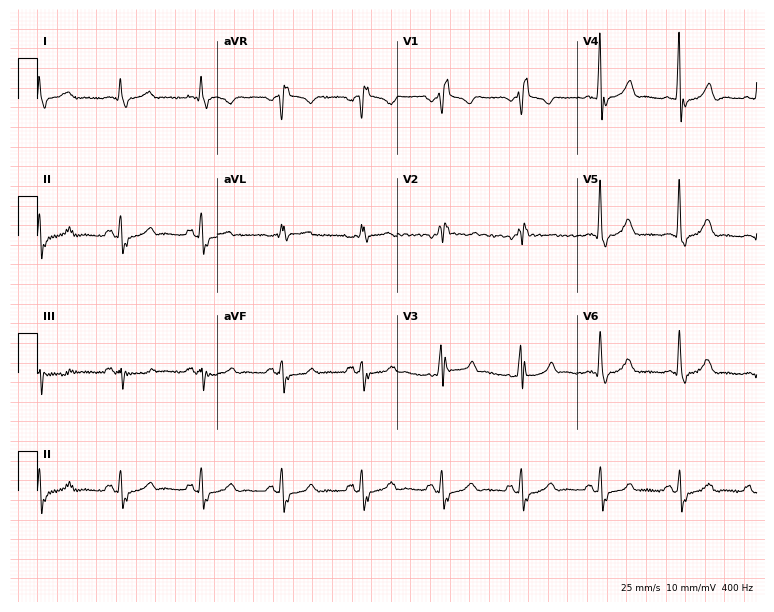
Electrocardiogram (7.3-second recording at 400 Hz), a 71-year-old male. Interpretation includes right bundle branch block (RBBB).